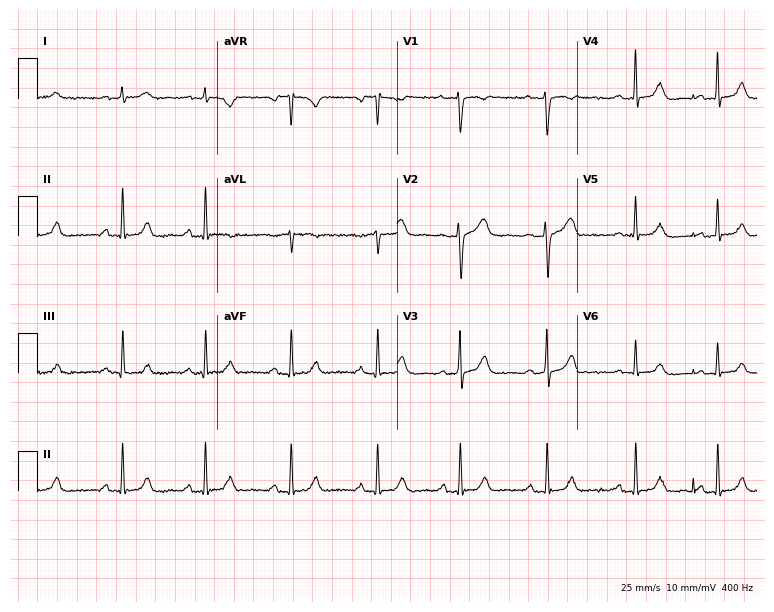
12-lead ECG from a female patient, 42 years old. Labelled as a normal ECG.